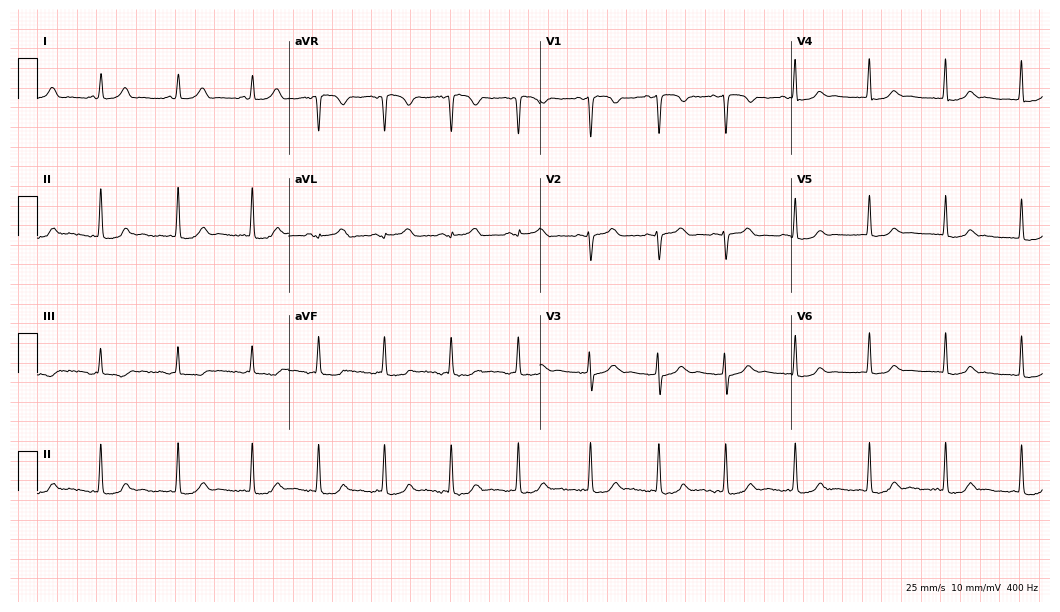
Standard 12-lead ECG recorded from a 19-year-old woman. Read as a normal ECG.